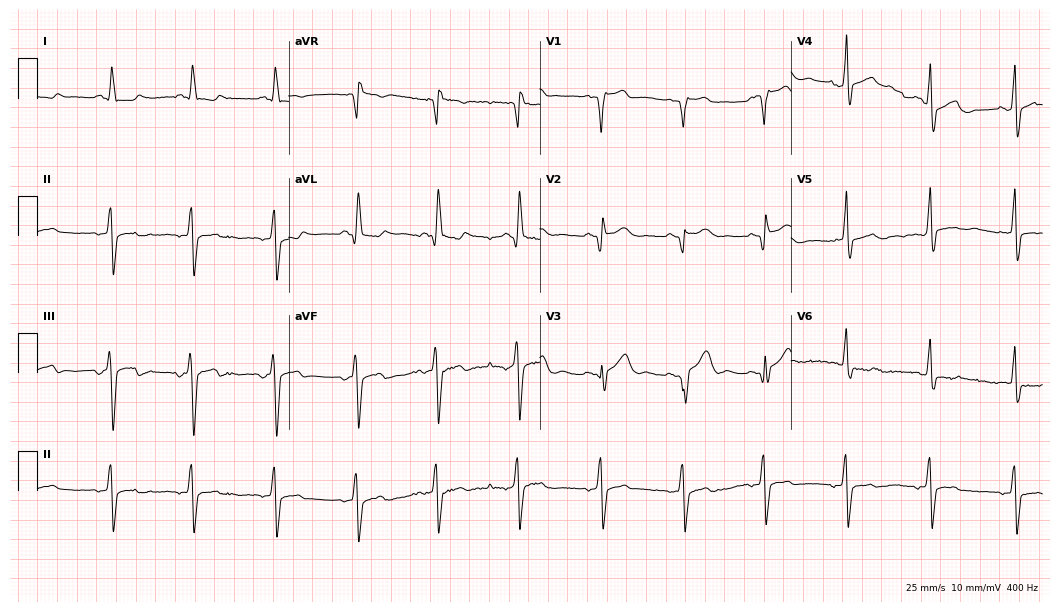
12-lead ECG from a 75-year-old man. Screened for six findings — first-degree AV block, right bundle branch block (RBBB), left bundle branch block (LBBB), sinus bradycardia, atrial fibrillation (AF), sinus tachycardia — none is recorded.